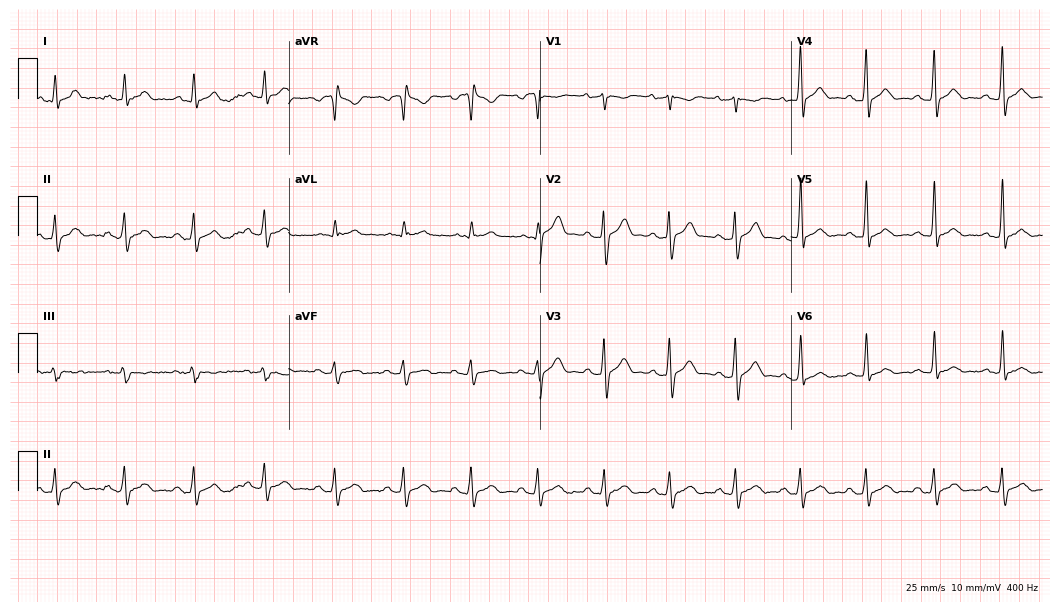
12-lead ECG from a 42-year-old man. Recorded interpretation: within normal limits.